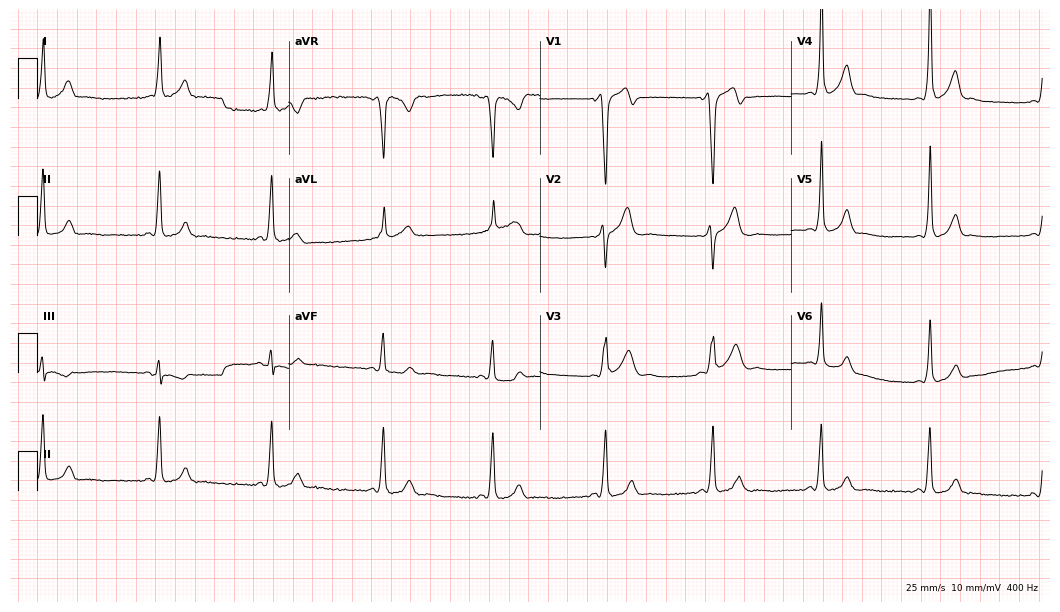
ECG — a 35-year-old male patient. Screened for six findings — first-degree AV block, right bundle branch block (RBBB), left bundle branch block (LBBB), sinus bradycardia, atrial fibrillation (AF), sinus tachycardia — none is recorded.